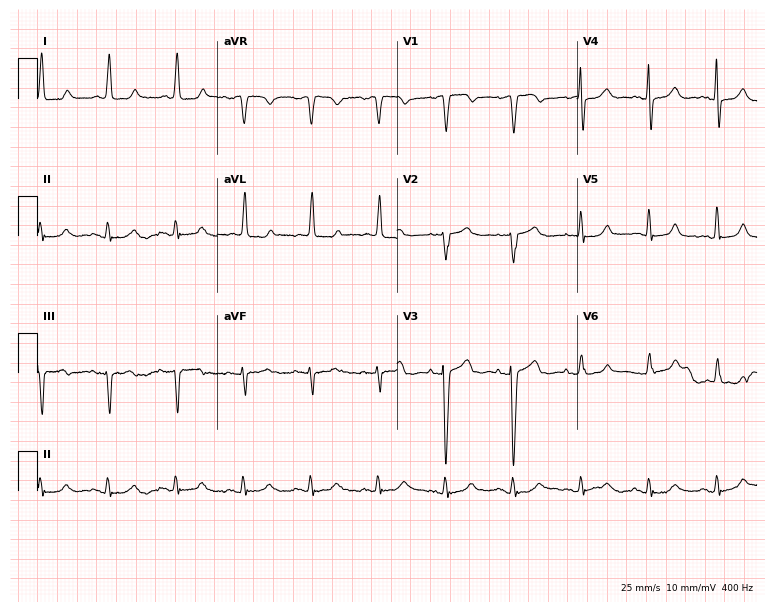
12-lead ECG (7.3-second recording at 400 Hz) from an 80-year-old female patient. Screened for six findings — first-degree AV block, right bundle branch block, left bundle branch block, sinus bradycardia, atrial fibrillation, sinus tachycardia — none is recorded. Findings outside these six are not listed.